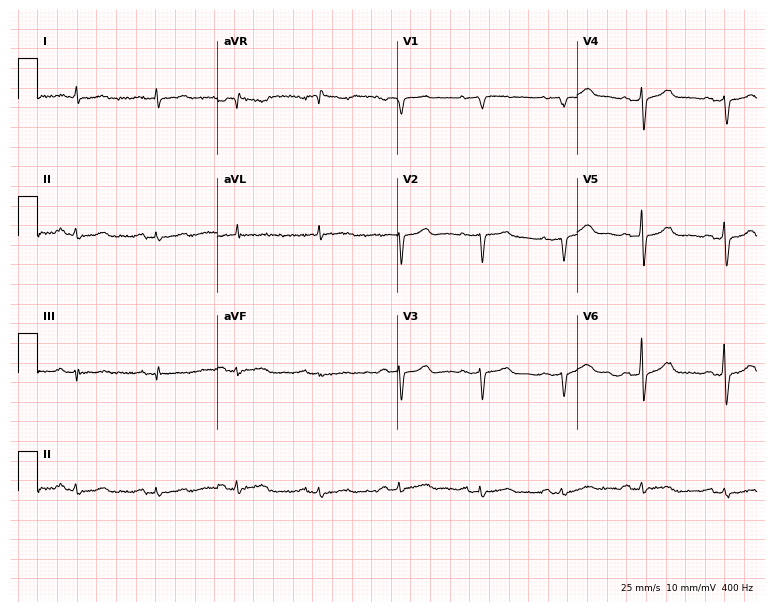
ECG (7.3-second recording at 400 Hz) — a male patient, 77 years old. Screened for six findings — first-degree AV block, right bundle branch block, left bundle branch block, sinus bradycardia, atrial fibrillation, sinus tachycardia — none is recorded.